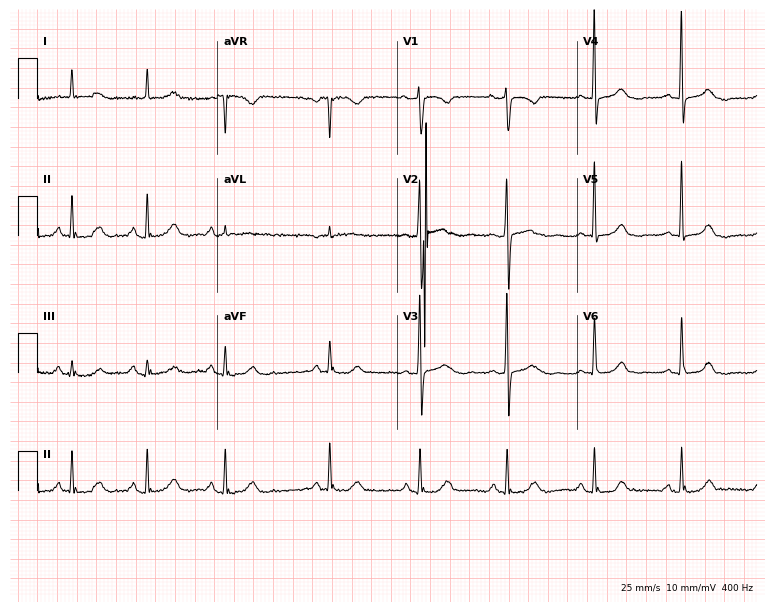
12-lead ECG from a 75-year-old female patient. Screened for six findings — first-degree AV block, right bundle branch block, left bundle branch block, sinus bradycardia, atrial fibrillation, sinus tachycardia — none is recorded. Findings outside these six are not listed.